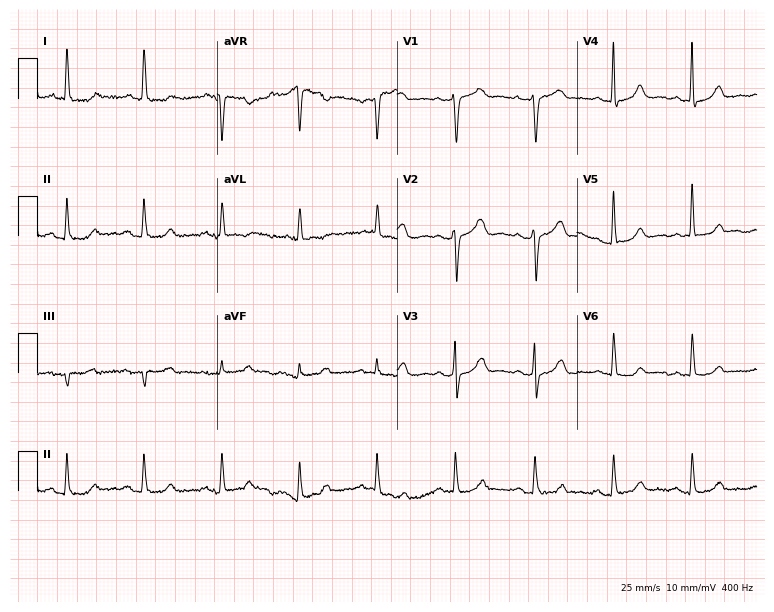
ECG (7.3-second recording at 400 Hz) — a 72-year-old woman. Labelled as a normal ECG.